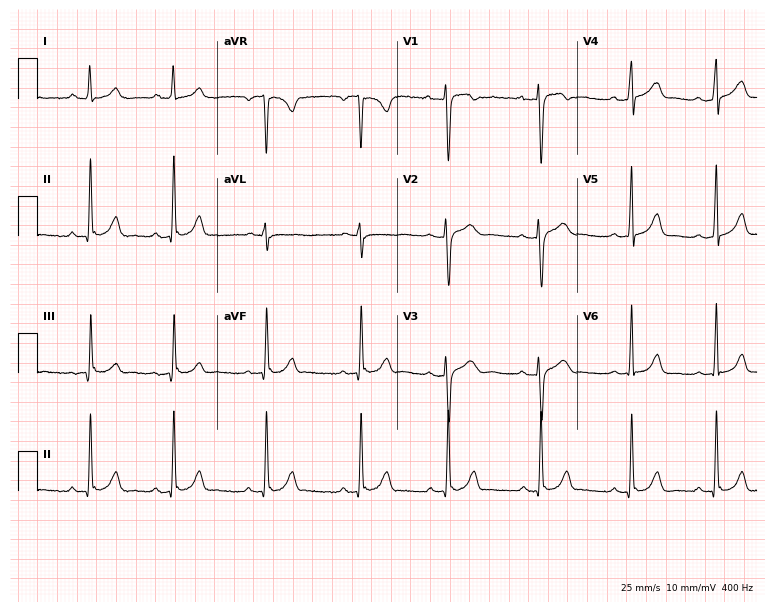
Resting 12-lead electrocardiogram (7.3-second recording at 400 Hz). Patient: a 28-year-old woman. None of these six findings is recorded: first-degree AV block, right bundle branch block, left bundle branch block, sinus bradycardia, atrial fibrillation, sinus tachycardia. Other findings, if any, are not listed.